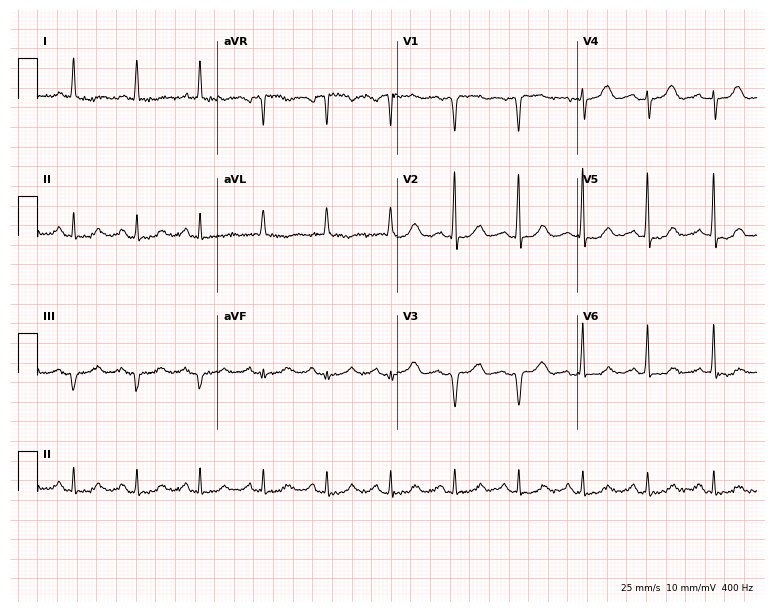
12-lead ECG (7.3-second recording at 400 Hz) from a female patient, 60 years old. Labelled as a normal ECG.